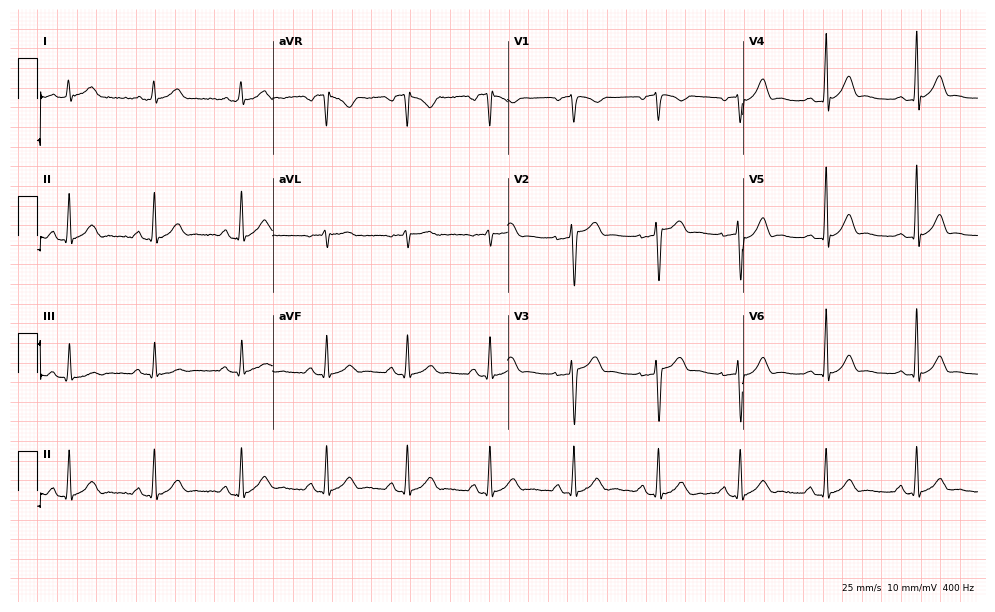
Electrocardiogram, a 31-year-old male. Overall reading on record: normal ECG.